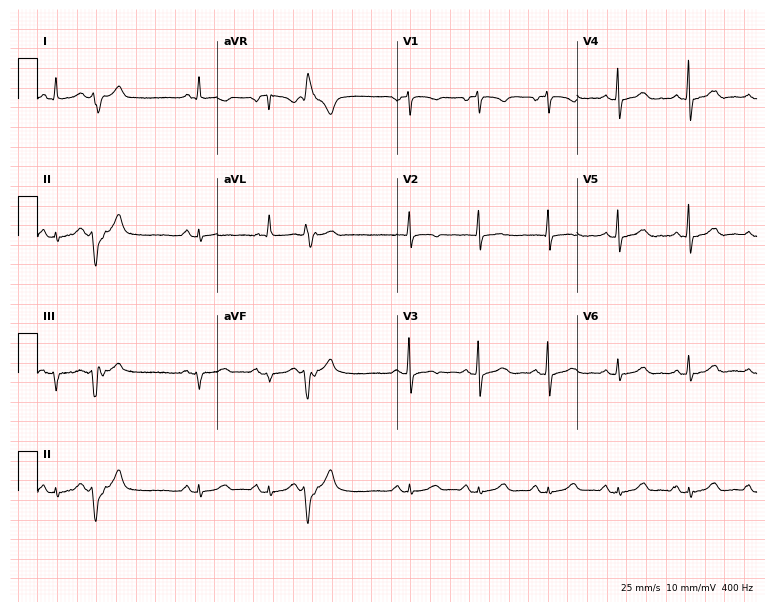
12-lead ECG from a 67-year-old female patient. Screened for six findings — first-degree AV block, right bundle branch block, left bundle branch block, sinus bradycardia, atrial fibrillation, sinus tachycardia — none is recorded.